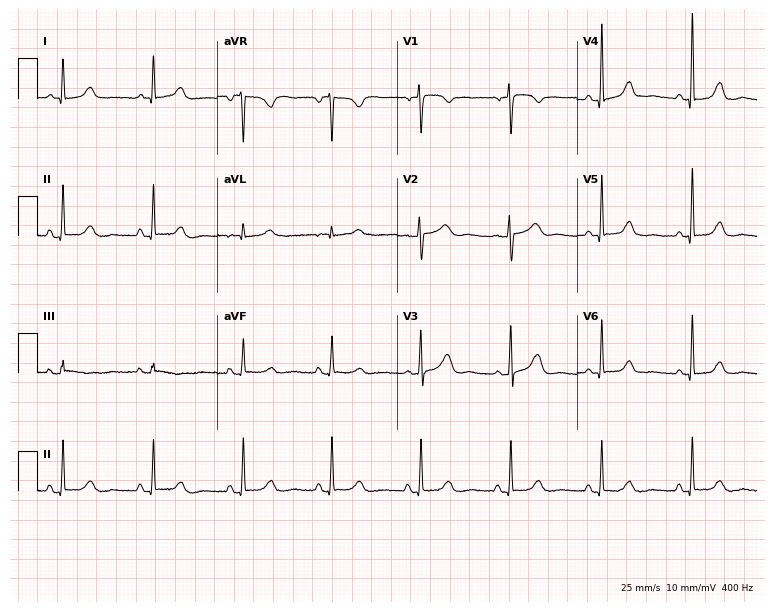
Standard 12-lead ECG recorded from a woman, 65 years old. None of these six findings is recorded: first-degree AV block, right bundle branch block (RBBB), left bundle branch block (LBBB), sinus bradycardia, atrial fibrillation (AF), sinus tachycardia.